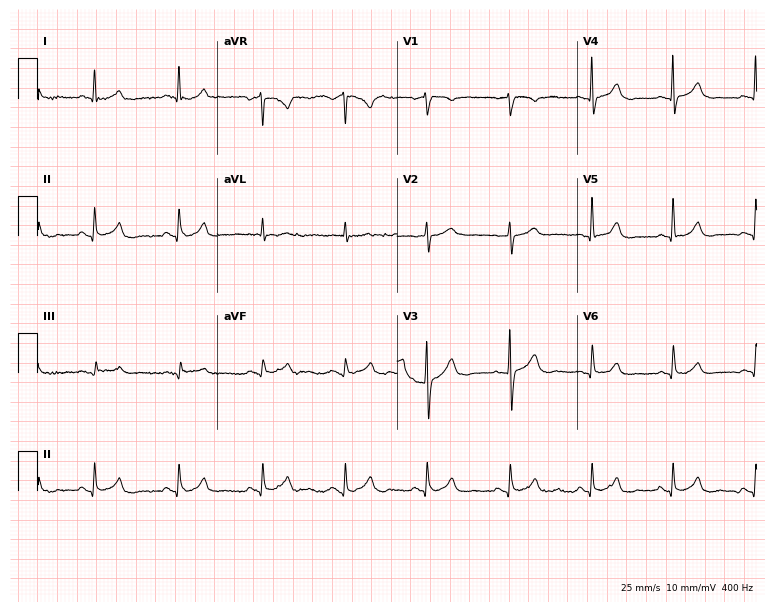
Standard 12-lead ECG recorded from a 51-year-old male (7.3-second recording at 400 Hz). Read as a normal ECG.